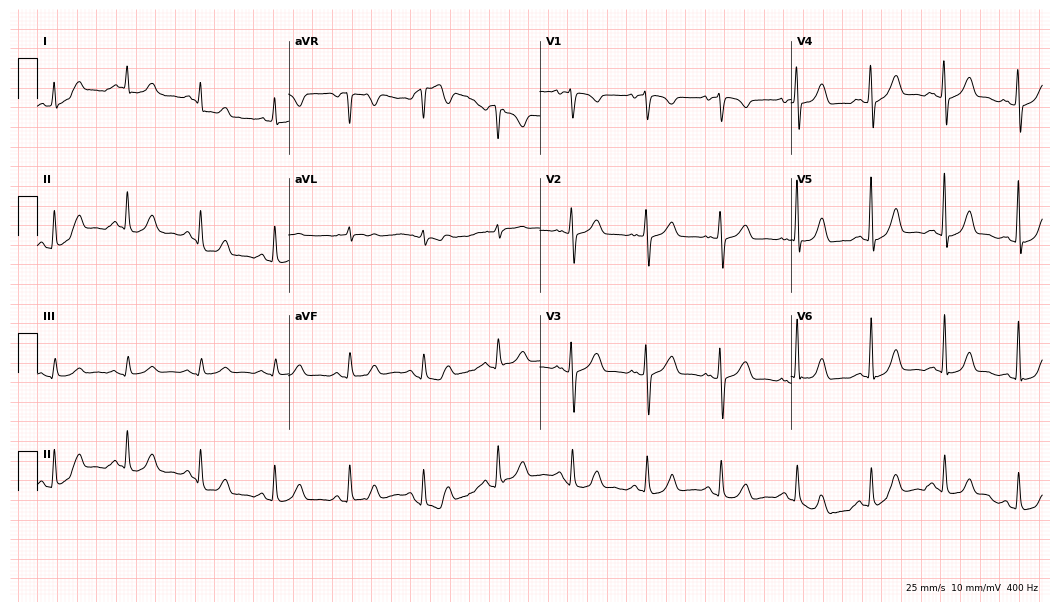
ECG (10.2-second recording at 400 Hz) — a female, 75 years old. Labelled as a normal ECG.